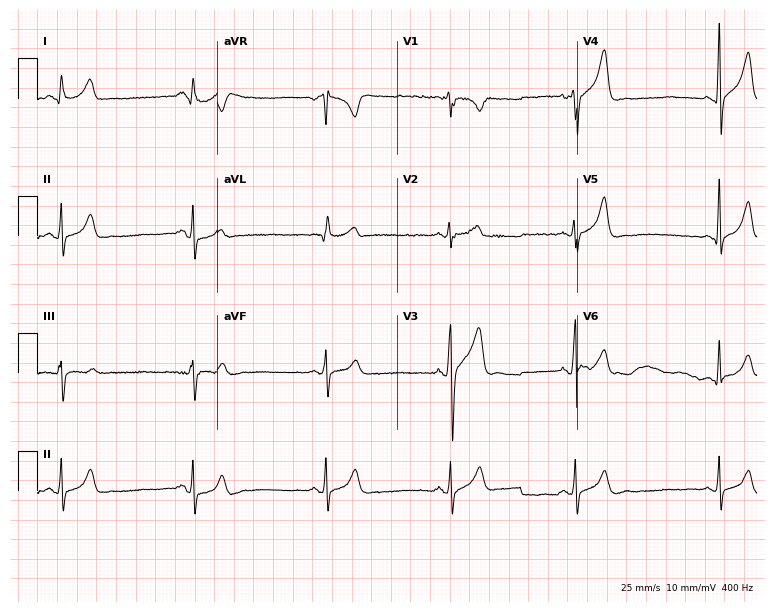
12-lead ECG from a man, 20 years old. Screened for six findings — first-degree AV block, right bundle branch block, left bundle branch block, sinus bradycardia, atrial fibrillation, sinus tachycardia — none is recorded.